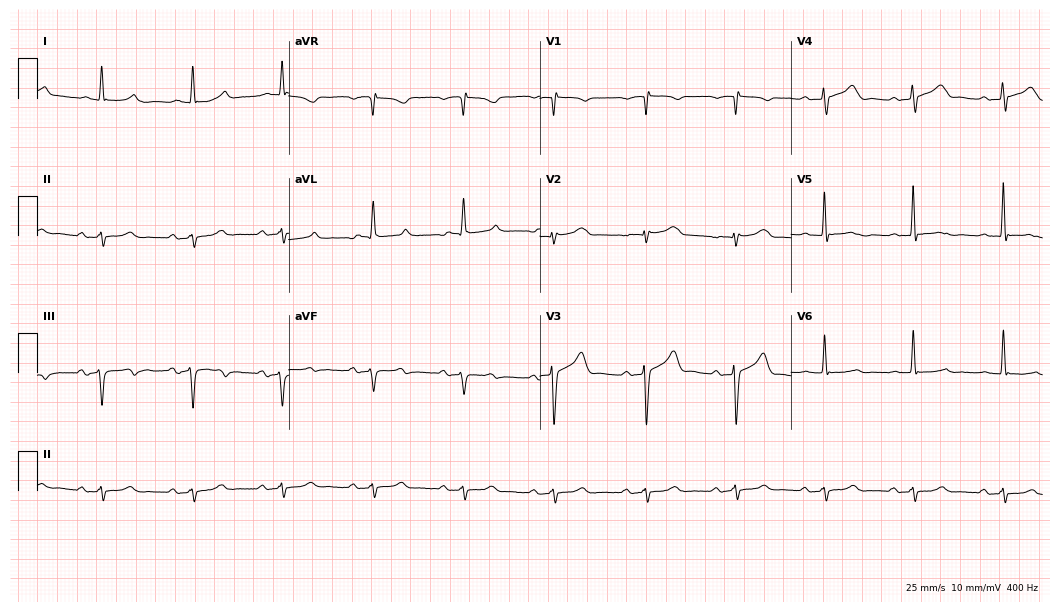
ECG — a male, 72 years old. Screened for six findings — first-degree AV block, right bundle branch block, left bundle branch block, sinus bradycardia, atrial fibrillation, sinus tachycardia — none is recorded. Only these six findings were labelled.